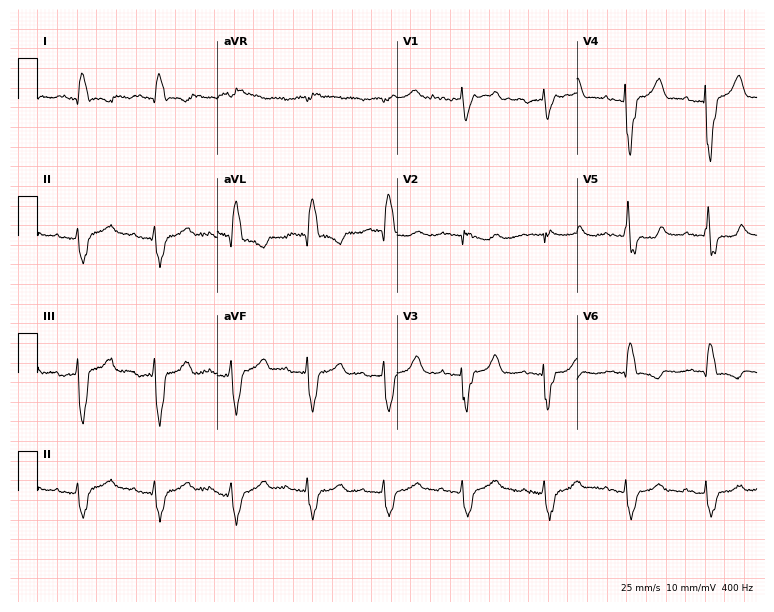
12-lead ECG from a male, 75 years old (7.3-second recording at 400 Hz). Shows left bundle branch block (LBBB).